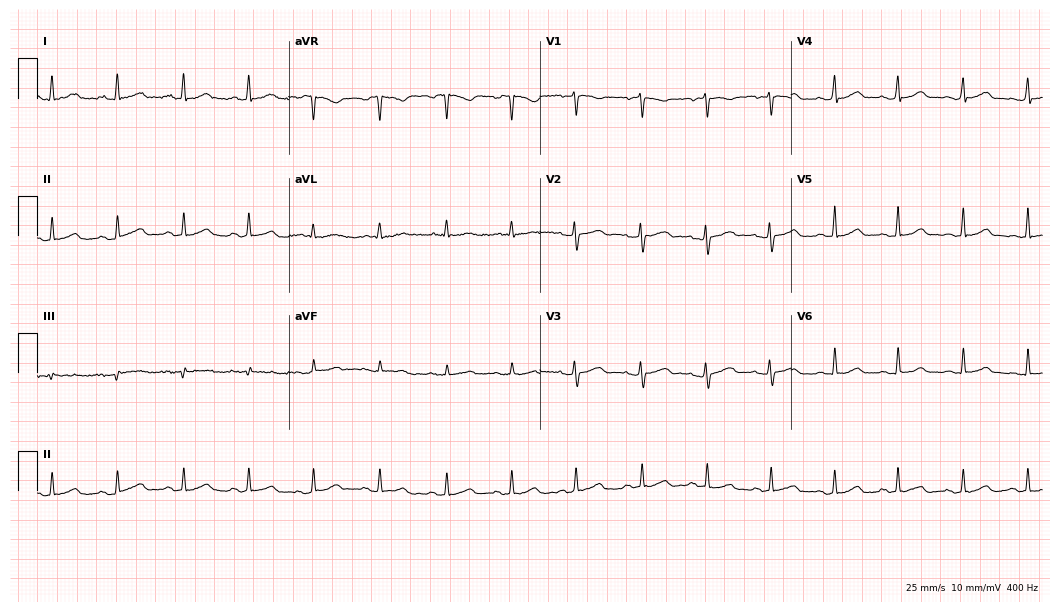
12-lead ECG from a woman, 41 years old. No first-degree AV block, right bundle branch block, left bundle branch block, sinus bradycardia, atrial fibrillation or sinus tachycardia recorded for this tracing. Findings outside these six are not listed.